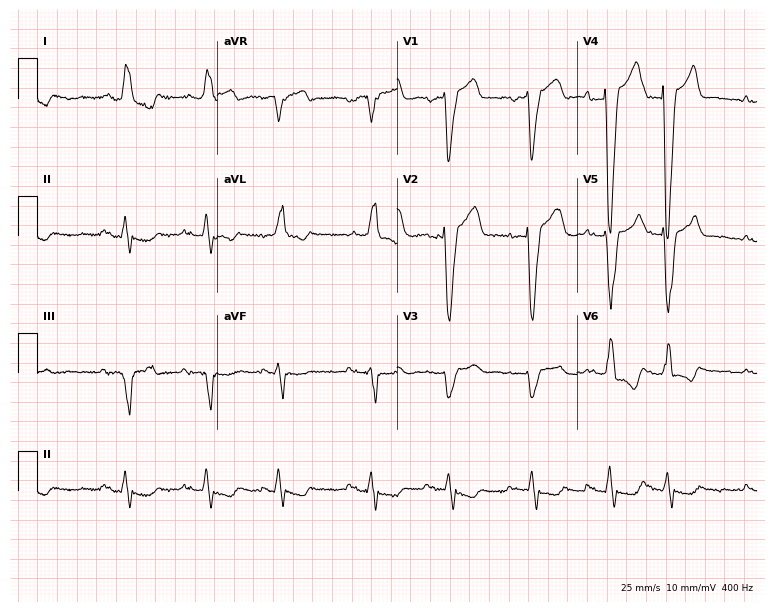
12-lead ECG from an 84-year-old man. Shows left bundle branch block.